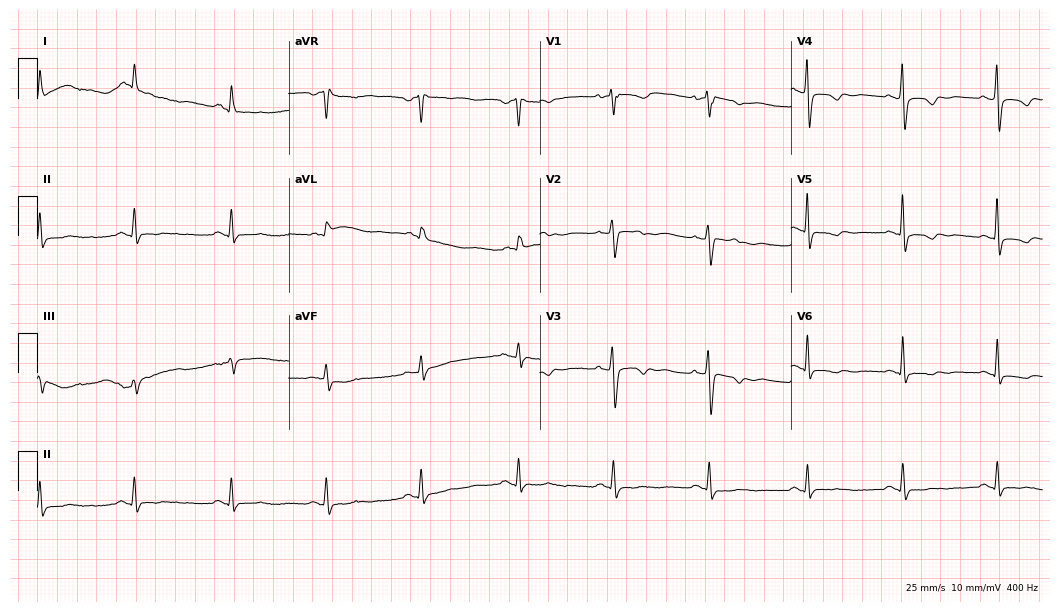
12-lead ECG from a 64-year-old female. No first-degree AV block, right bundle branch block, left bundle branch block, sinus bradycardia, atrial fibrillation or sinus tachycardia recorded for this tracing. Only these six findings were labelled.